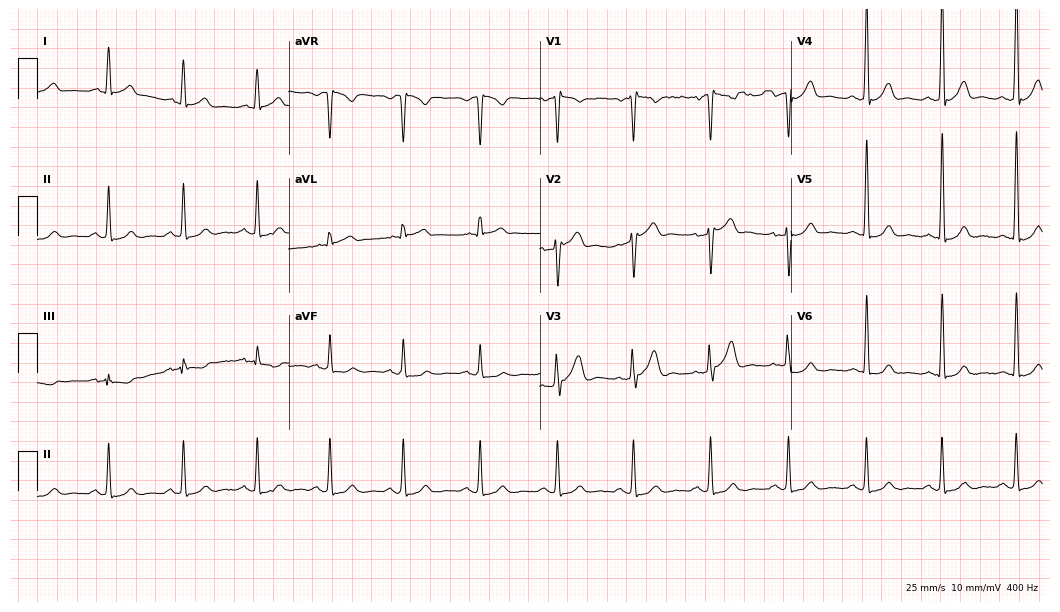
ECG (10.2-second recording at 400 Hz) — a 42-year-old man. Labelled as a normal ECG.